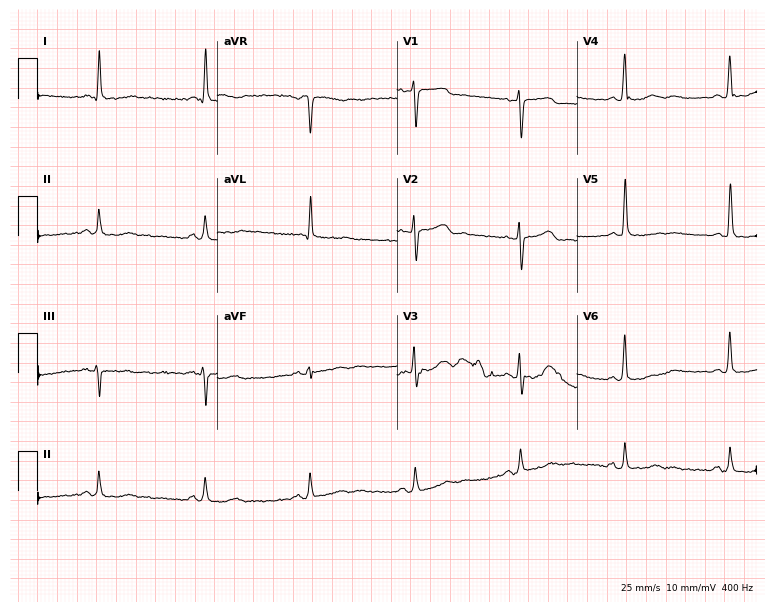
Standard 12-lead ECG recorded from a female, 67 years old. None of these six findings is recorded: first-degree AV block, right bundle branch block, left bundle branch block, sinus bradycardia, atrial fibrillation, sinus tachycardia. Only these six findings were labelled.